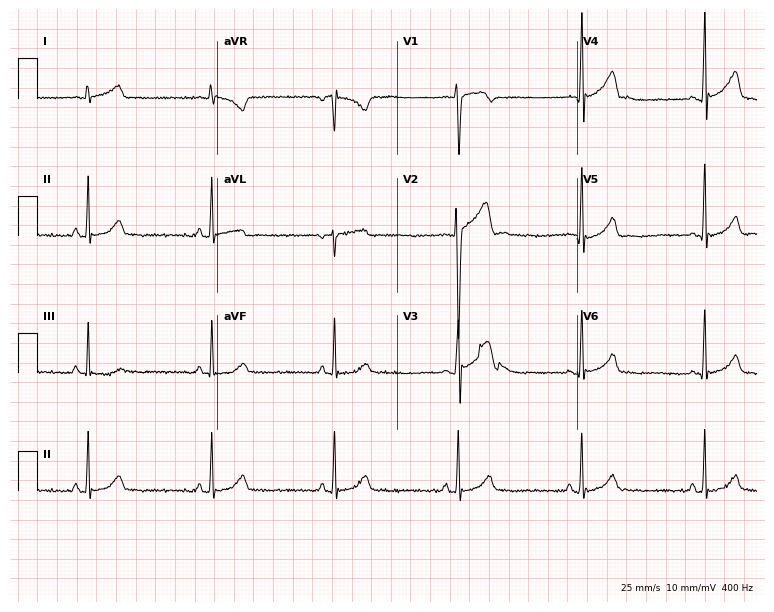
Standard 12-lead ECG recorded from an 18-year-old male patient. The tracing shows sinus bradycardia (a sinus rate of 50 beats per minute or less).